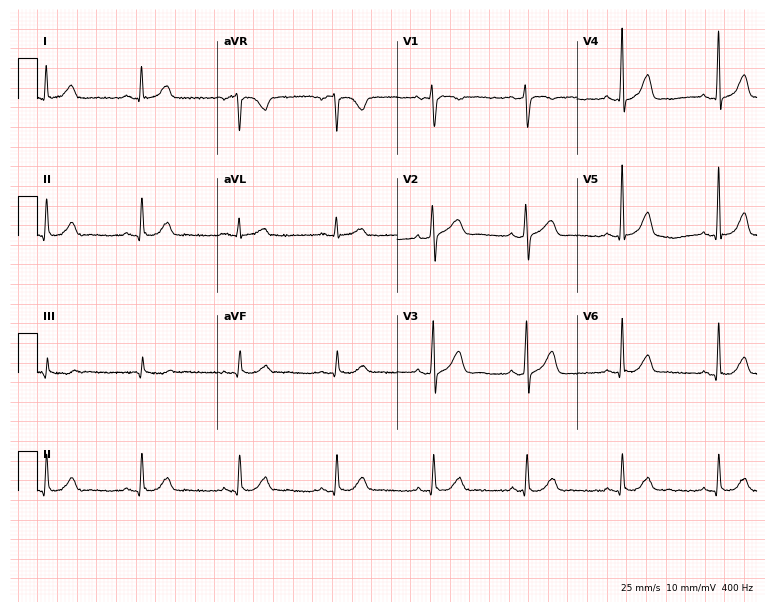
ECG (7.3-second recording at 400 Hz) — a 43-year-old woman. Screened for six findings — first-degree AV block, right bundle branch block (RBBB), left bundle branch block (LBBB), sinus bradycardia, atrial fibrillation (AF), sinus tachycardia — none is recorded.